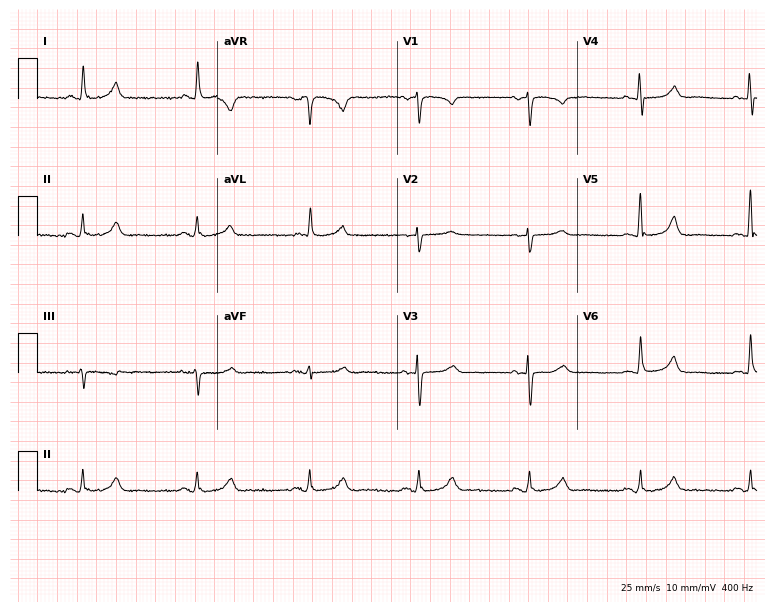
Electrocardiogram, a 71-year-old female. Overall reading on record: normal ECG.